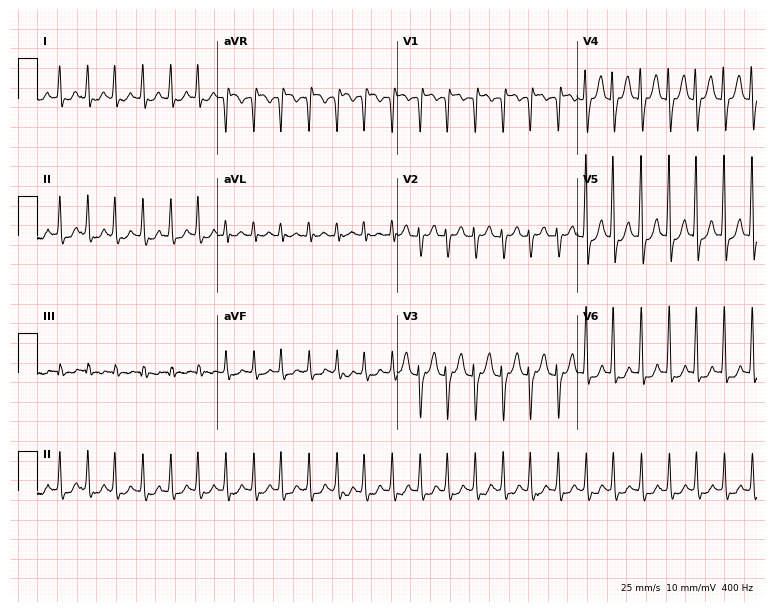
ECG — a male, 67 years old. Screened for six findings — first-degree AV block, right bundle branch block (RBBB), left bundle branch block (LBBB), sinus bradycardia, atrial fibrillation (AF), sinus tachycardia — none is recorded. Findings outside these six are not listed.